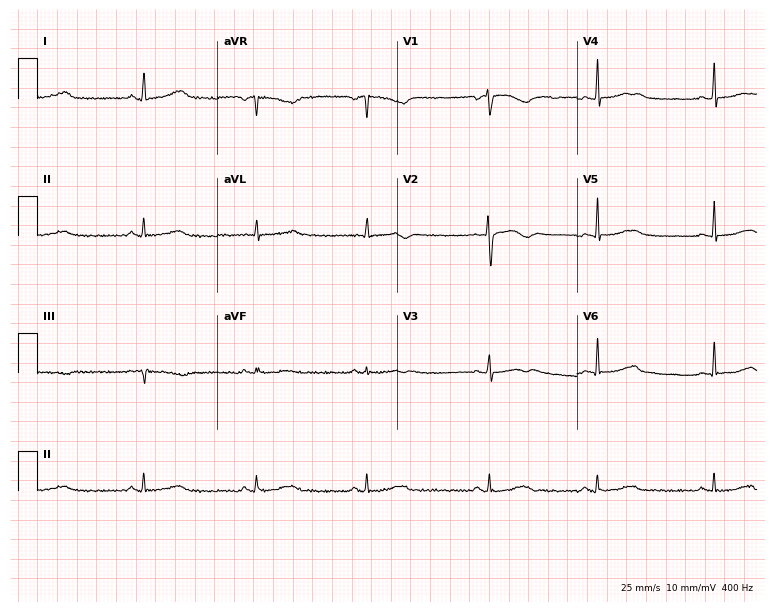
ECG (7.3-second recording at 400 Hz) — a woman, 29 years old. Labelled as a normal ECG.